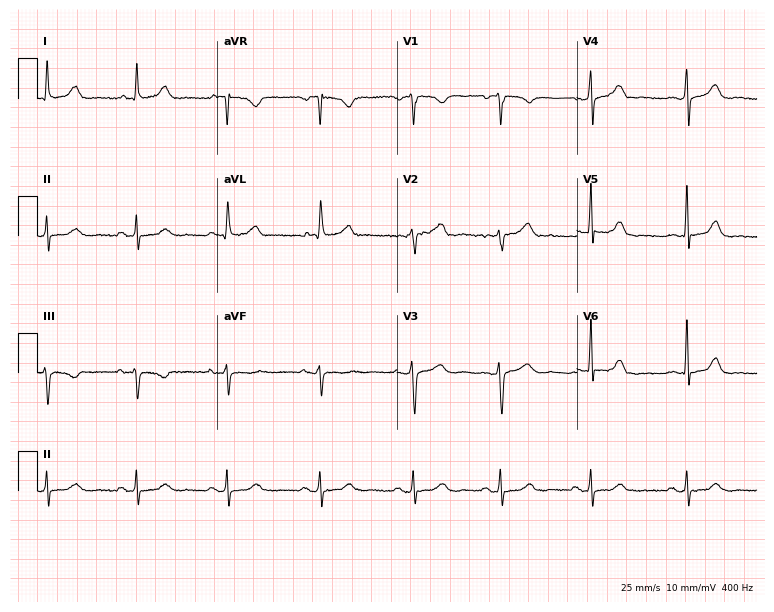
12-lead ECG from a 50-year-old female (7.3-second recording at 400 Hz). Recorded interpretation: within normal limits.